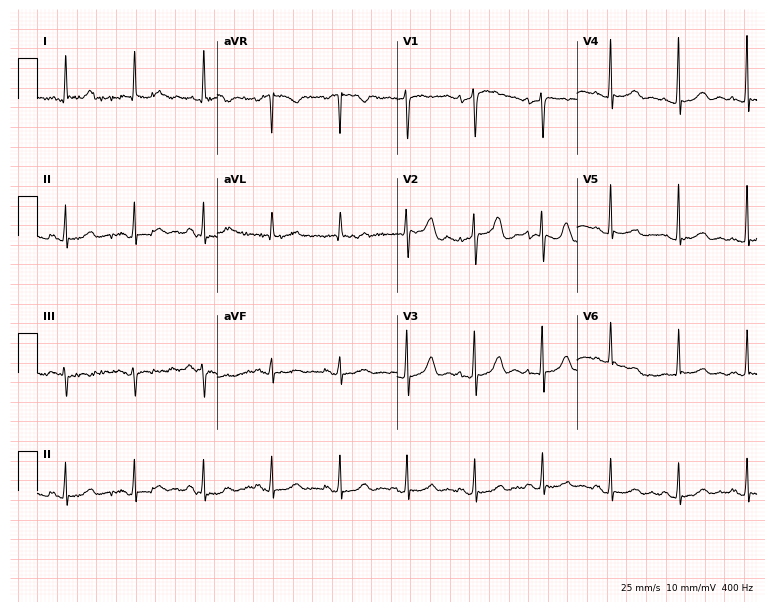
Standard 12-lead ECG recorded from a 63-year-old female patient. None of these six findings is recorded: first-degree AV block, right bundle branch block, left bundle branch block, sinus bradycardia, atrial fibrillation, sinus tachycardia. Other findings, if any, are not listed.